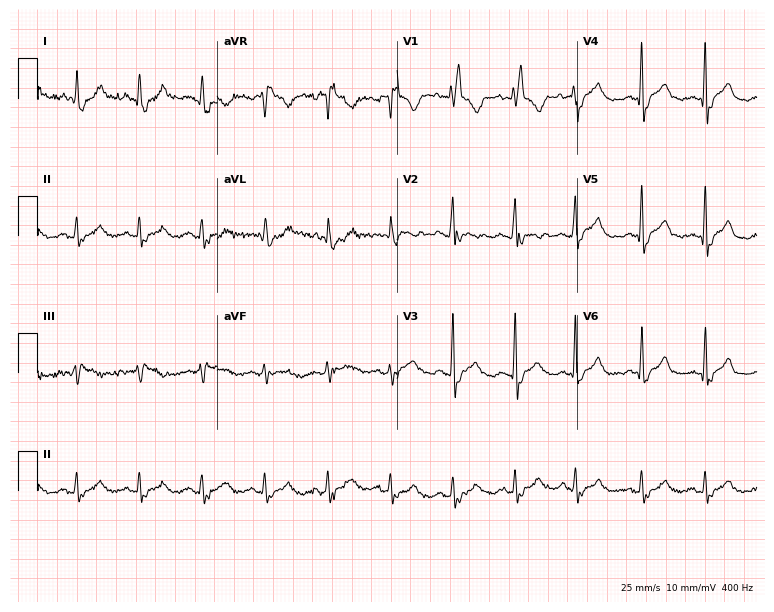
Electrocardiogram (7.3-second recording at 400 Hz), a female, 52 years old. Interpretation includes right bundle branch block.